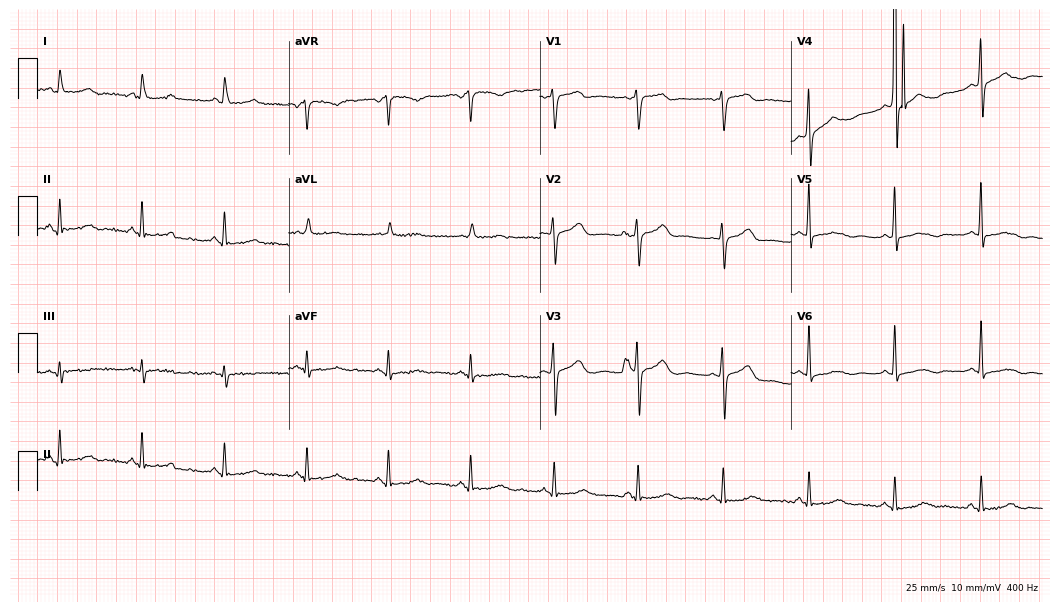
ECG — a 69-year-old woman. Screened for six findings — first-degree AV block, right bundle branch block, left bundle branch block, sinus bradycardia, atrial fibrillation, sinus tachycardia — none is recorded.